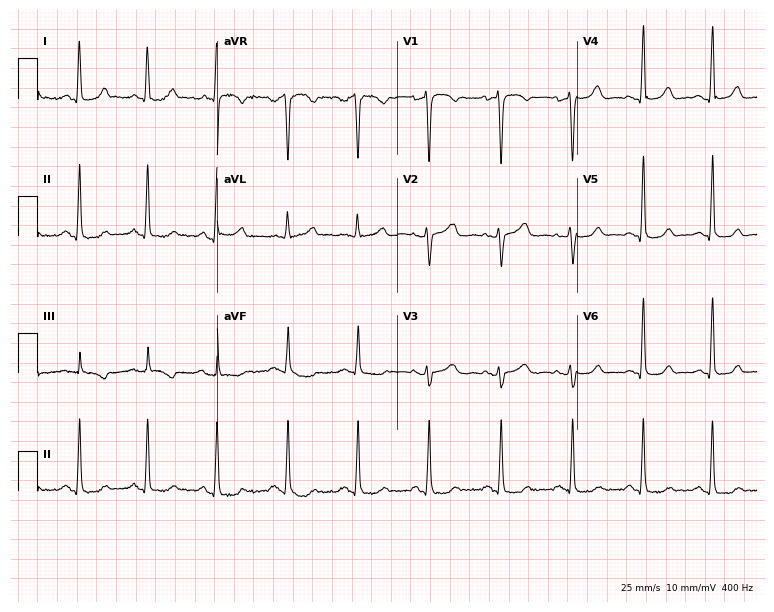
12-lead ECG from a female patient, 49 years old. No first-degree AV block, right bundle branch block (RBBB), left bundle branch block (LBBB), sinus bradycardia, atrial fibrillation (AF) or sinus tachycardia recorded for this tracing. Only these six findings were labelled.